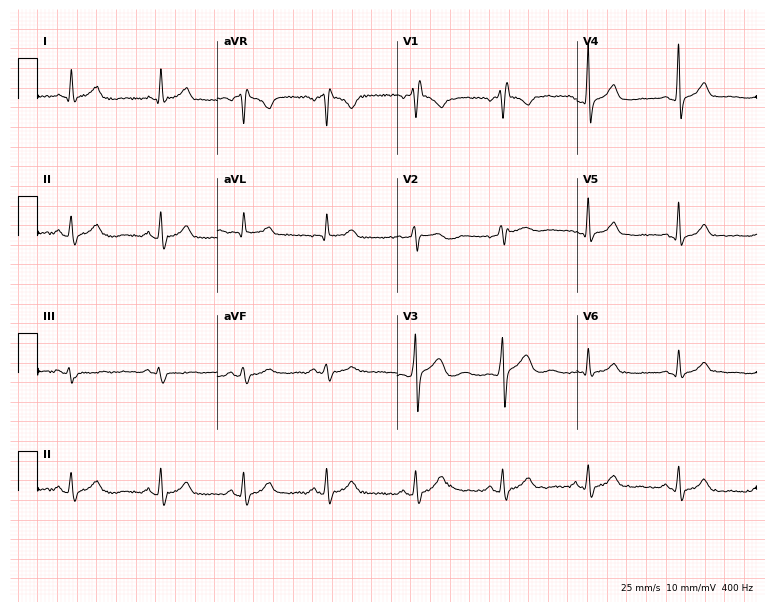
12-lead ECG from a male patient, 45 years old. No first-degree AV block, right bundle branch block, left bundle branch block, sinus bradycardia, atrial fibrillation or sinus tachycardia recorded for this tracing. Other findings, if any, are not listed.